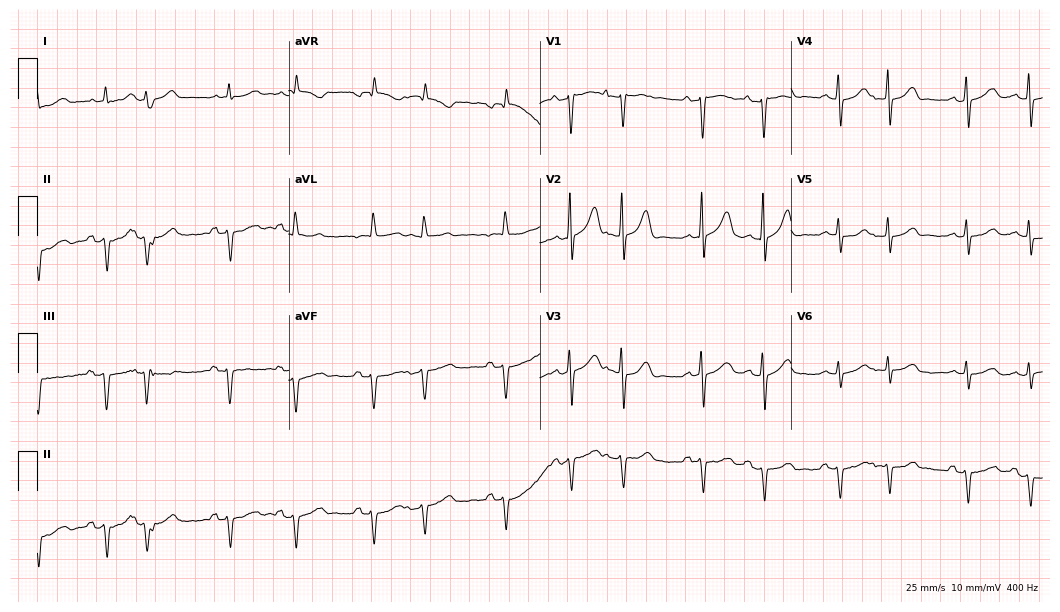
12-lead ECG from a female patient, 75 years old. Screened for six findings — first-degree AV block, right bundle branch block, left bundle branch block, sinus bradycardia, atrial fibrillation, sinus tachycardia — none is recorded. Other findings, if any, are not listed.